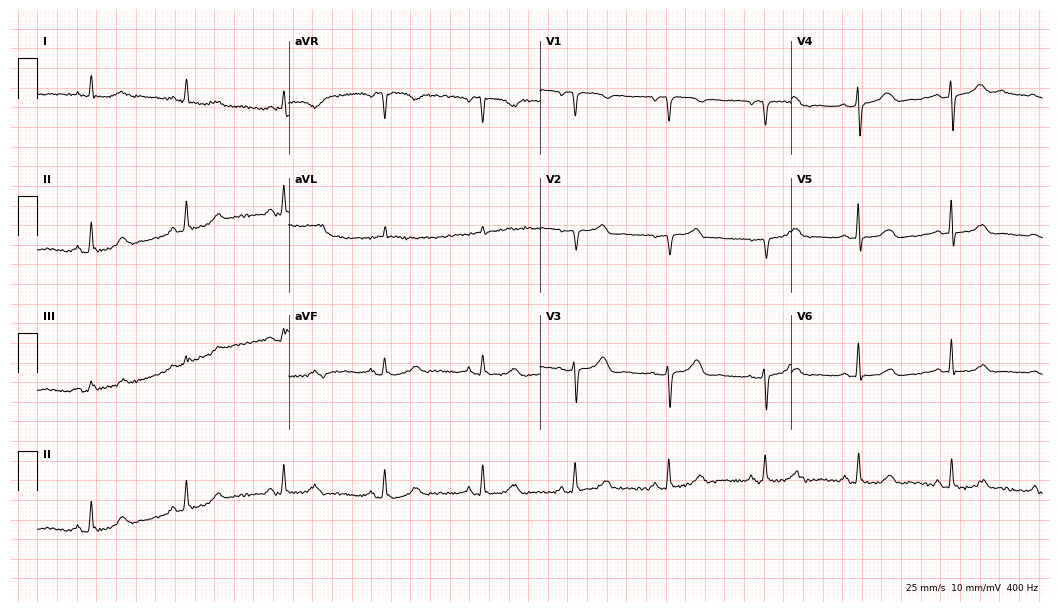
ECG — a woman, 68 years old. Screened for six findings — first-degree AV block, right bundle branch block, left bundle branch block, sinus bradycardia, atrial fibrillation, sinus tachycardia — none is recorded. Only these six findings were labelled.